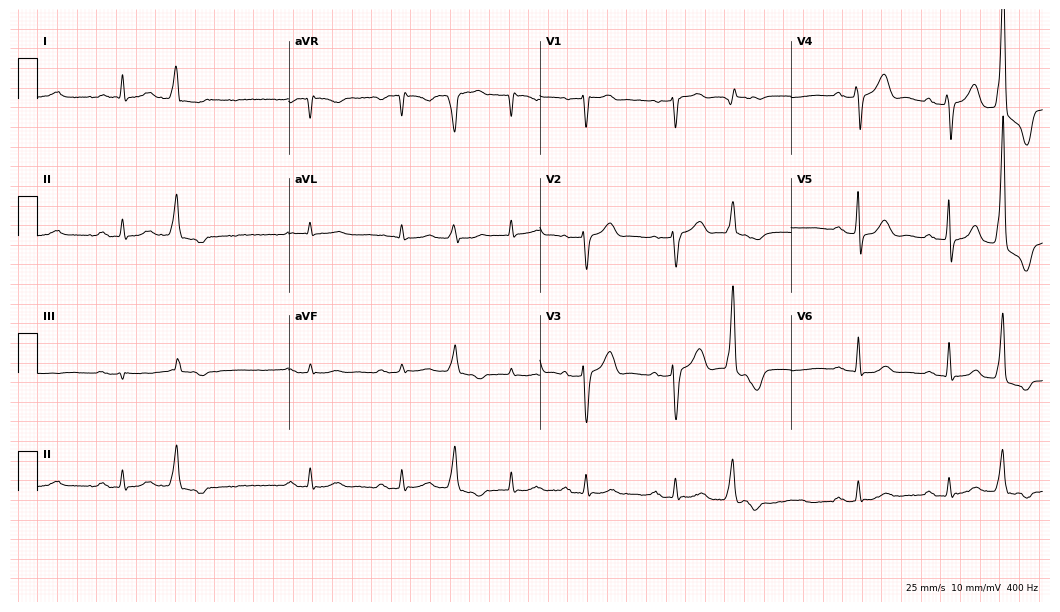
Standard 12-lead ECG recorded from a man, 78 years old (10.2-second recording at 400 Hz). The tracing shows first-degree AV block.